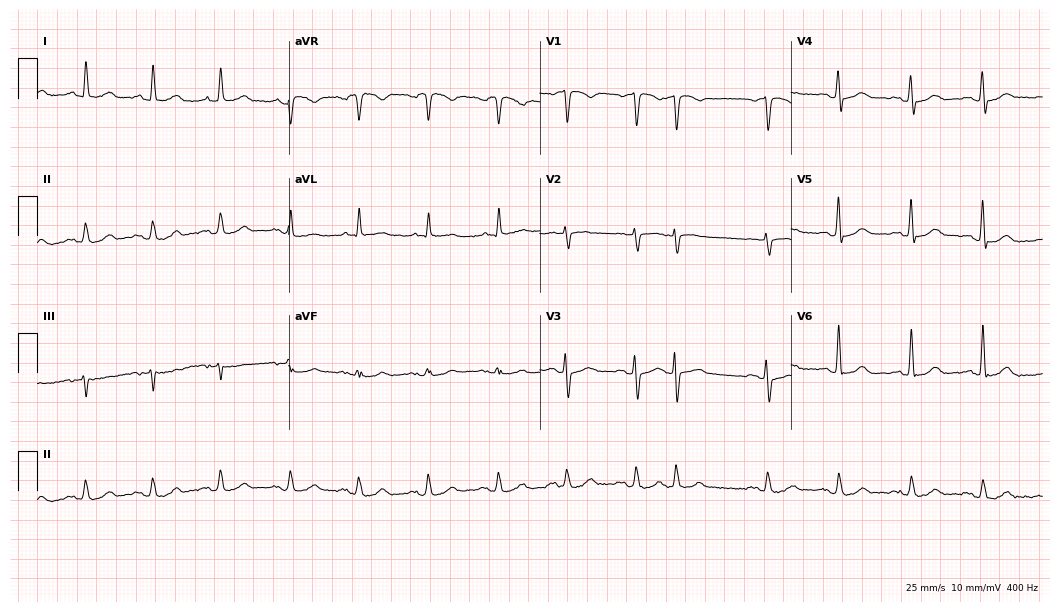
Electrocardiogram (10.2-second recording at 400 Hz), a male, 83 years old. Of the six screened findings (first-degree AV block, right bundle branch block (RBBB), left bundle branch block (LBBB), sinus bradycardia, atrial fibrillation (AF), sinus tachycardia), none is recorded. Other findings, if any, are not listed.